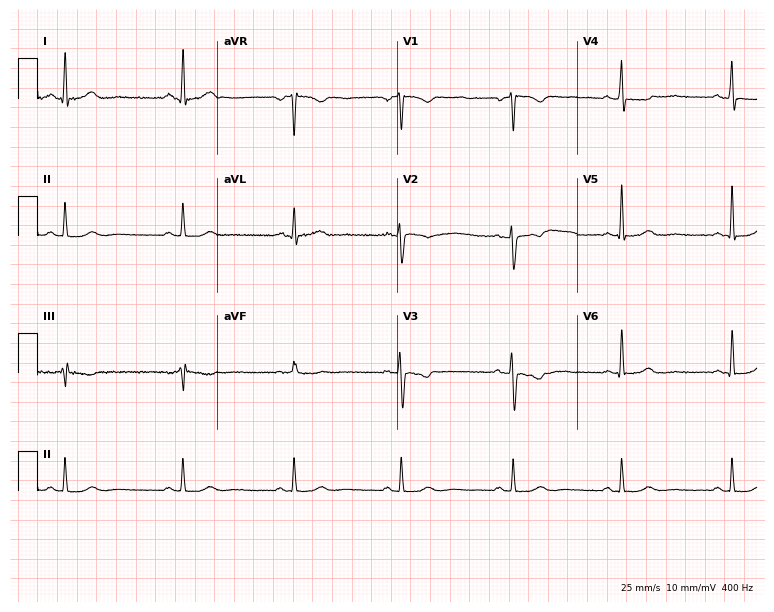
12-lead ECG from a female, 51 years old. Recorded interpretation: within normal limits.